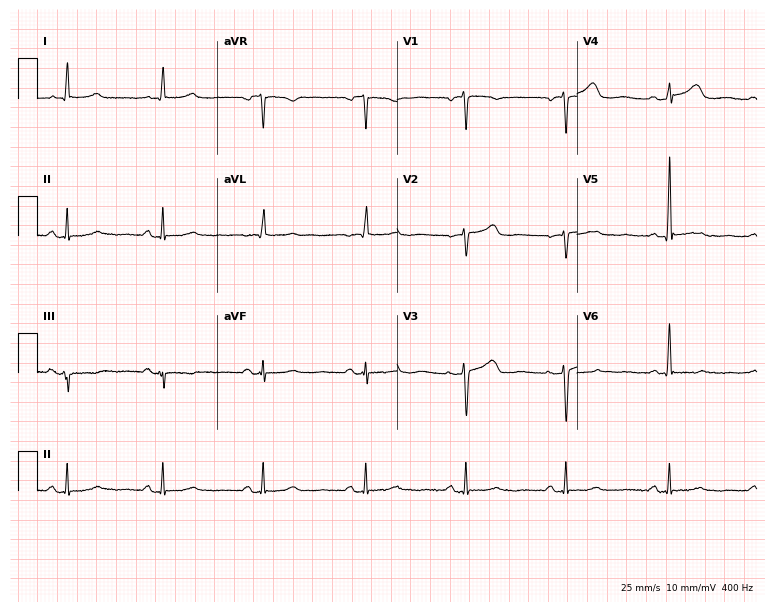
ECG (7.3-second recording at 400 Hz) — a female, 63 years old. Screened for six findings — first-degree AV block, right bundle branch block (RBBB), left bundle branch block (LBBB), sinus bradycardia, atrial fibrillation (AF), sinus tachycardia — none is recorded.